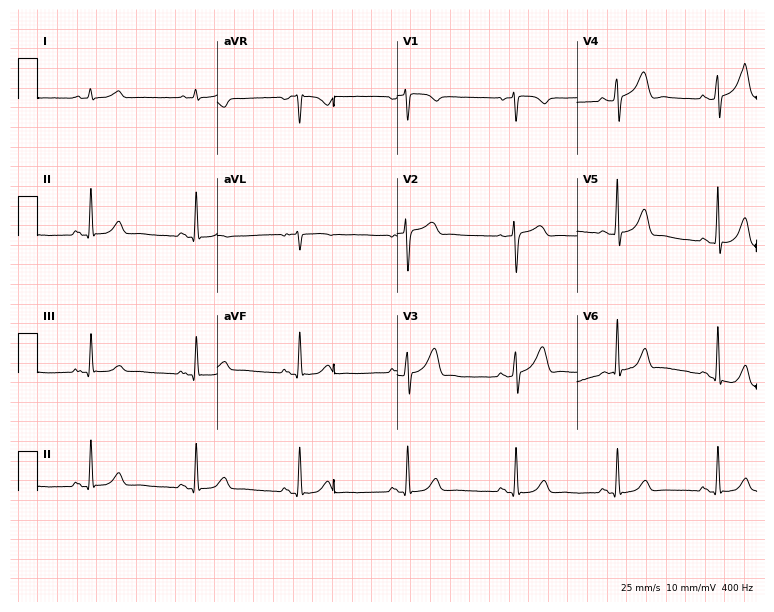
Electrocardiogram (7.3-second recording at 400 Hz), a 64-year-old male patient. Of the six screened findings (first-degree AV block, right bundle branch block, left bundle branch block, sinus bradycardia, atrial fibrillation, sinus tachycardia), none is recorded.